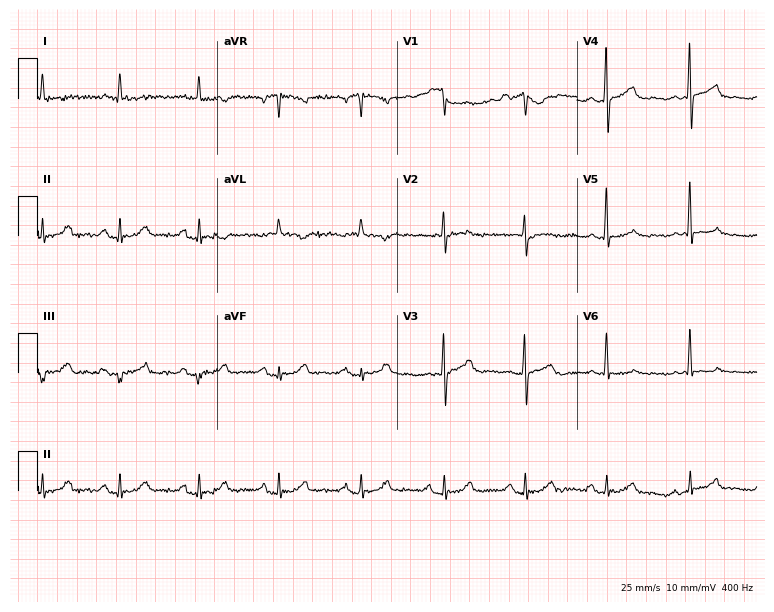
12-lead ECG (7.3-second recording at 400 Hz) from a man, 57 years old. Screened for six findings — first-degree AV block, right bundle branch block (RBBB), left bundle branch block (LBBB), sinus bradycardia, atrial fibrillation (AF), sinus tachycardia — none is recorded.